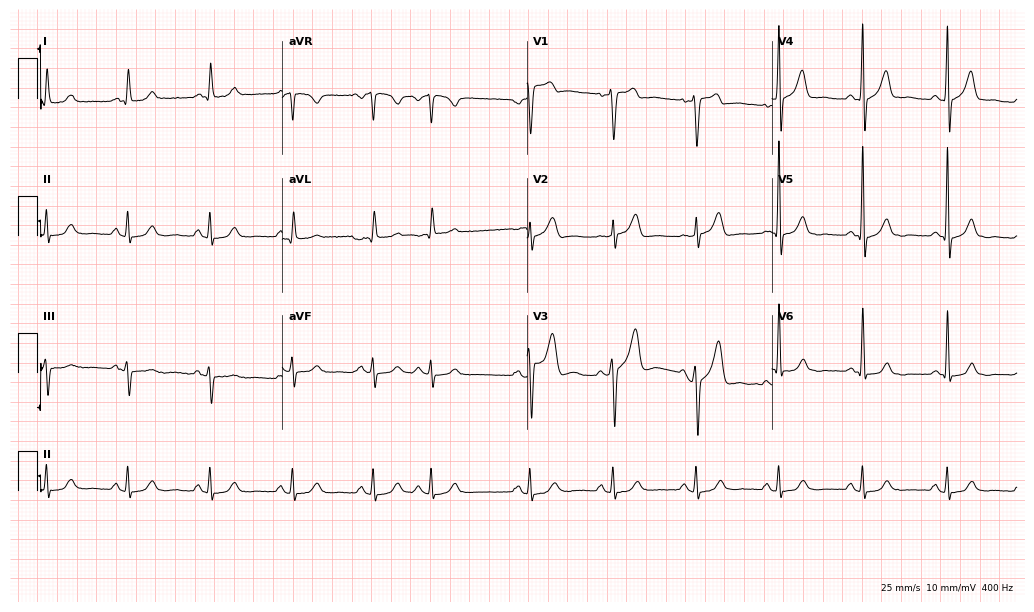
Electrocardiogram (10-second recording at 400 Hz), a 73-year-old male. Of the six screened findings (first-degree AV block, right bundle branch block, left bundle branch block, sinus bradycardia, atrial fibrillation, sinus tachycardia), none is recorded. Other findings, if any, are not listed.